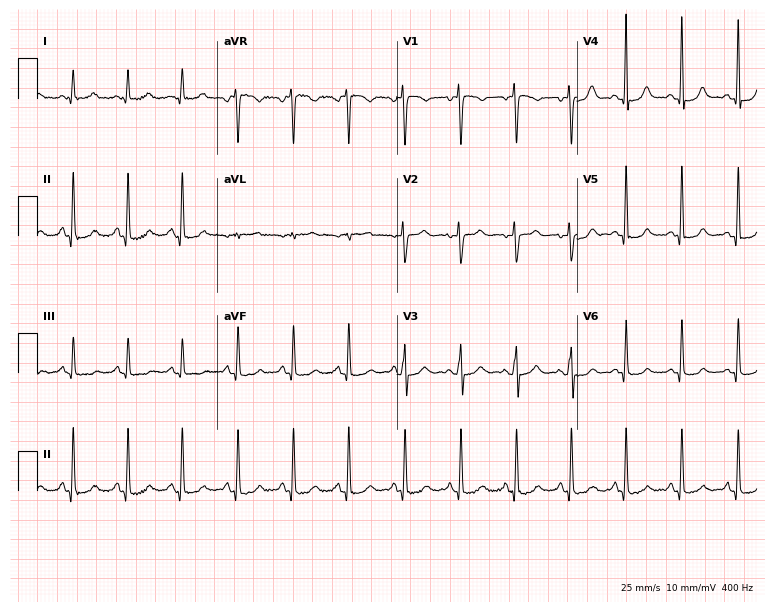
Standard 12-lead ECG recorded from a 17-year-old female. The tracing shows sinus tachycardia (a sinus rate of 100 beats per minute or more).